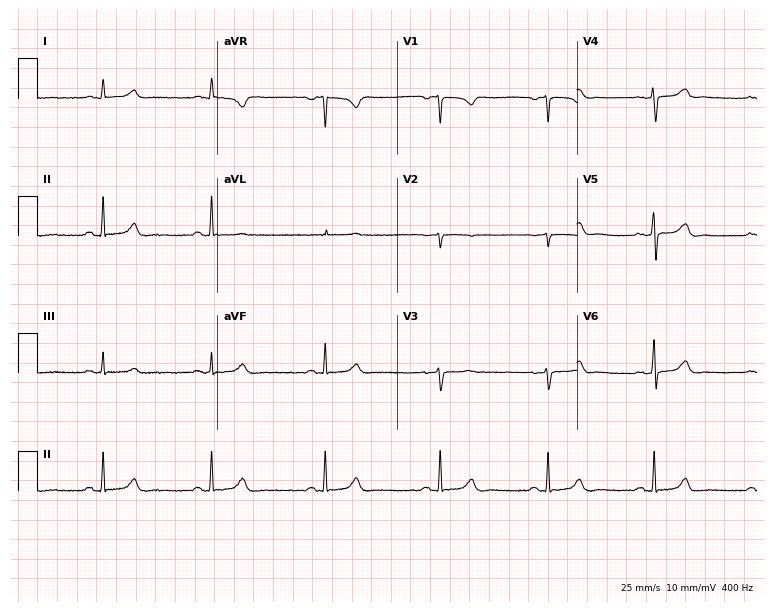
12-lead ECG from a 48-year-old female patient. Screened for six findings — first-degree AV block, right bundle branch block, left bundle branch block, sinus bradycardia, atrial fibrillation, sinus tachycardia — none is recorded. Findings outside these six are not listed.